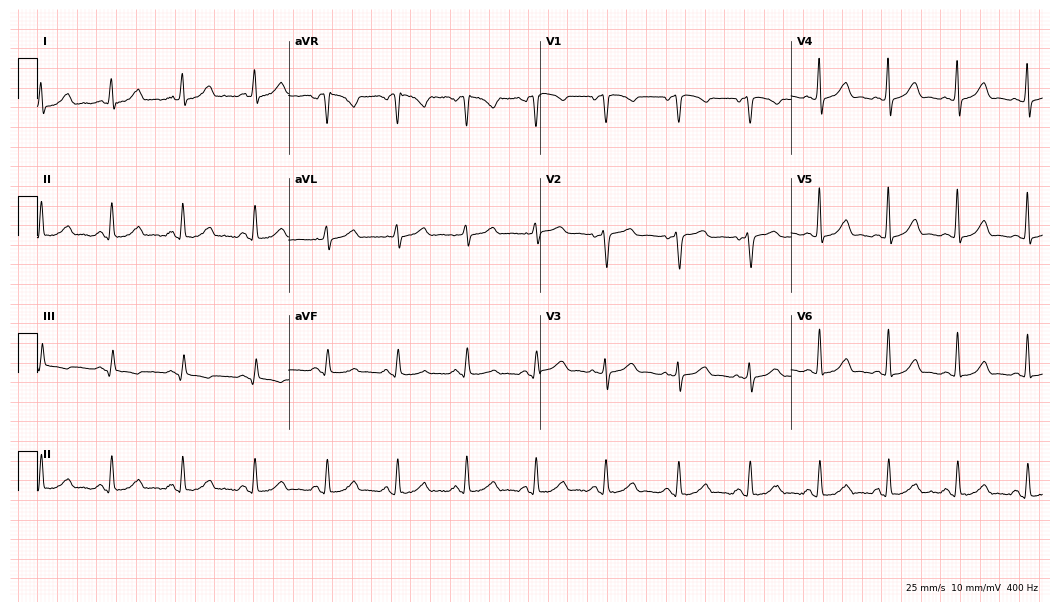
Resting 12-lead electrocardiogram. Patient: a female, 39 years old. Read as a normal ECG.